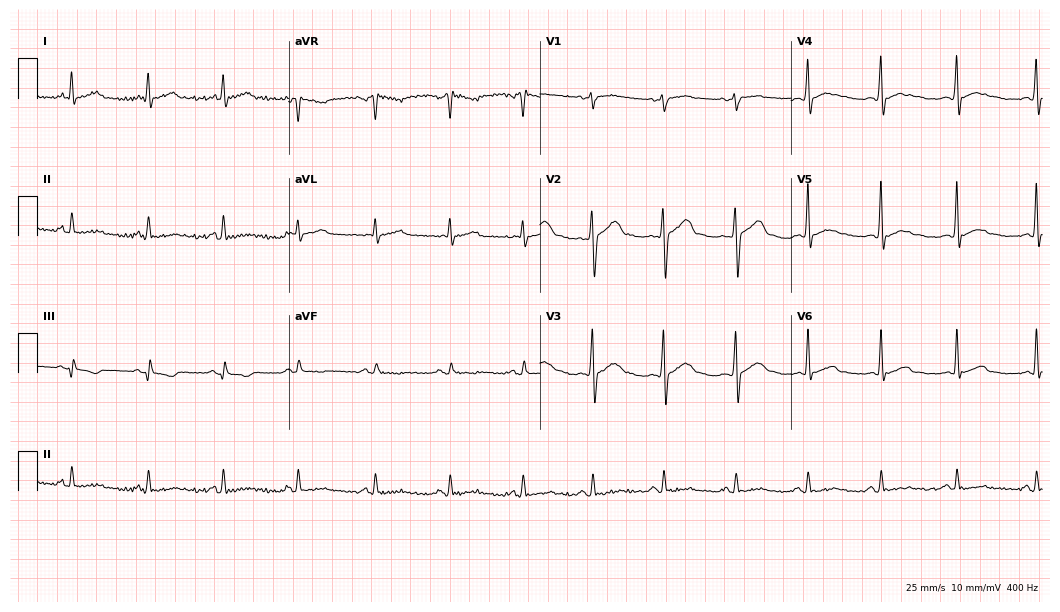
Electrocardiogram, a 49-year-old male. Overall reading on record: normal ECG.